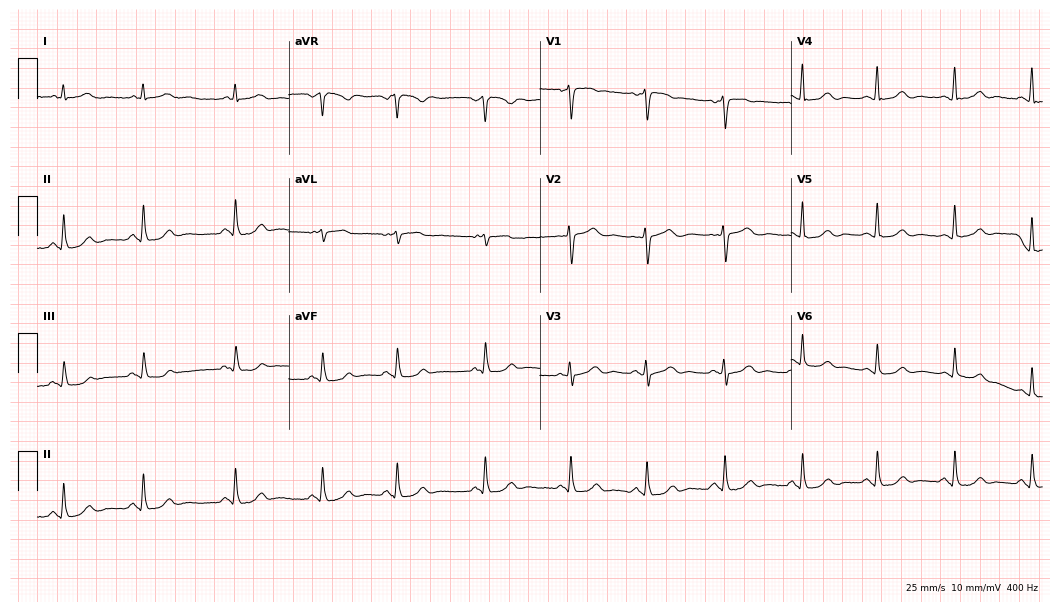
Electrocardiogram, a 50-year-old woman. Overall reading on record: normal ECG.